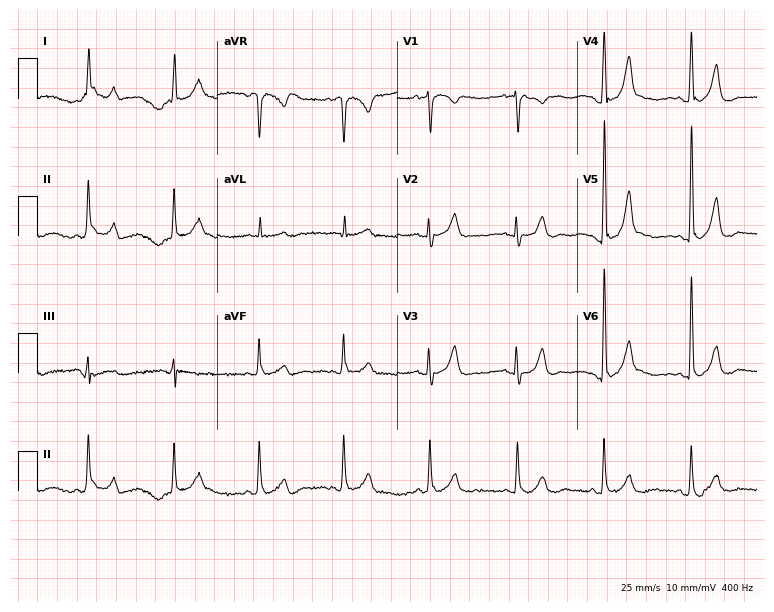
Standard 12-lead ECG recorded from a 73-year-old woman (7.3-second recording at 400 Hz). Read as a normal ECG.